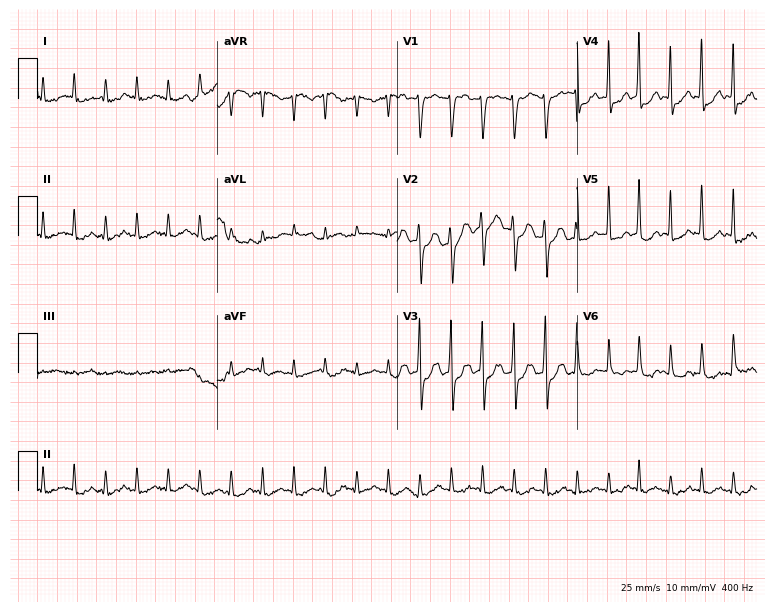
Standard 12-lead ECG recorded from a female patient, 60 years old (7.3-second recording at 400 Hz). The tracing shows sinus tachycardia (a sinus rate of 100 beats per minute or more).